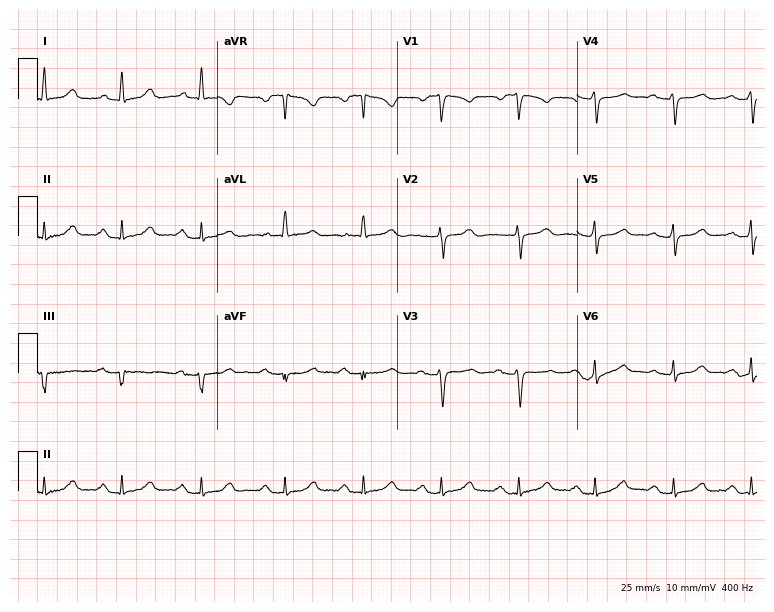
Electrocardiogram (7.3-second recording at 400 Hz), a 51-year-old female. Interpretation includes first-degree AV block.